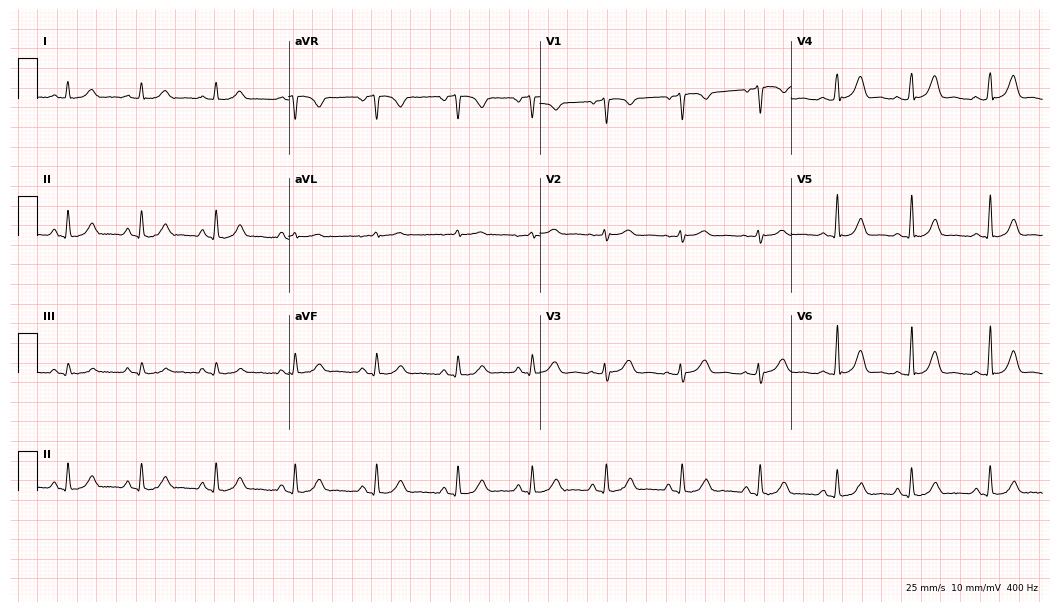
ECG — a female, 25 years old. Screened for six findings — first-degree AV block, right bundle branch block, left bundle branch block, sinus bradycardia, atrial fibrillation, sinus tachycardia — none is recorded.